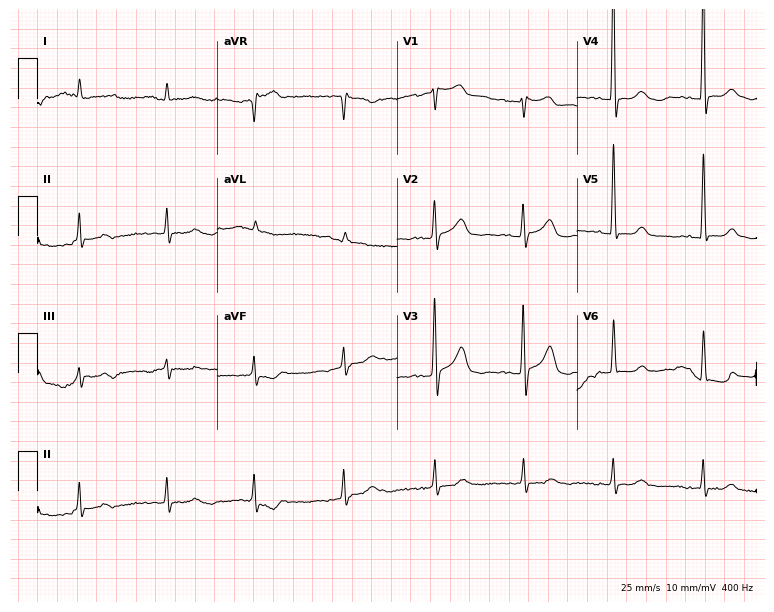
Electrocardiogram, a male, 82 years old. Of the six screened findings (first-degree AV block, right bundle branch block (RBBB), left bundle branch block (LBBB), sinus bradycardia, atrial fibrillation (AF), sinus tachycardia), none is recorded. Other findings, if any, are not listed.